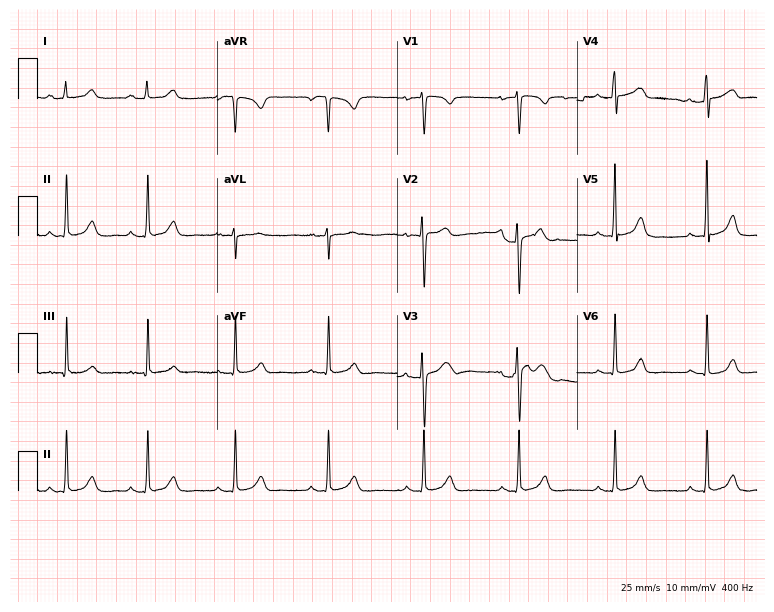
12-lead ECG from a female, 38 years old. Recorded interpretation: within normal limits.